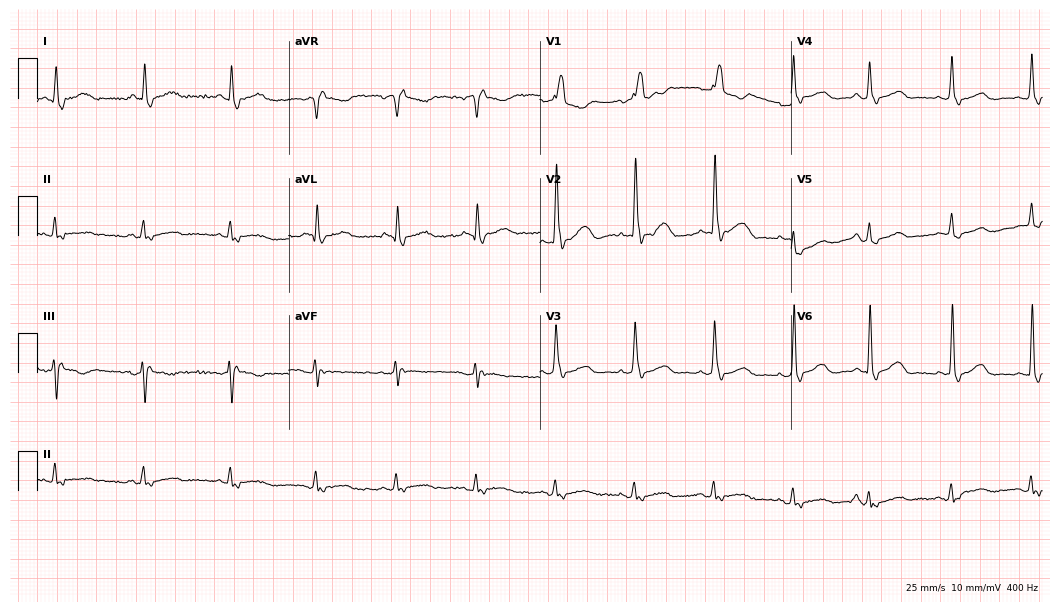
ECG (10.2-second recording at 400 Hz) — a 79-year-old female. Findings include right bundle branch block.